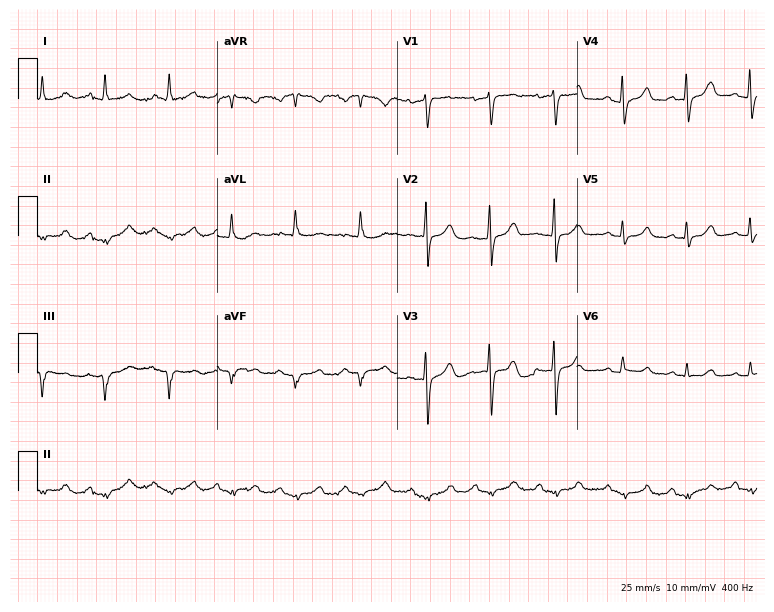
ECG (7.3-second recording at 400 Hz) — a female, 67 years old. Screened for six findings — first-degree AV block, right bundle branch block, left bundle branch block, sinus bradycardia, atrial fibrillation, sinus tachycardia — none is recorded.